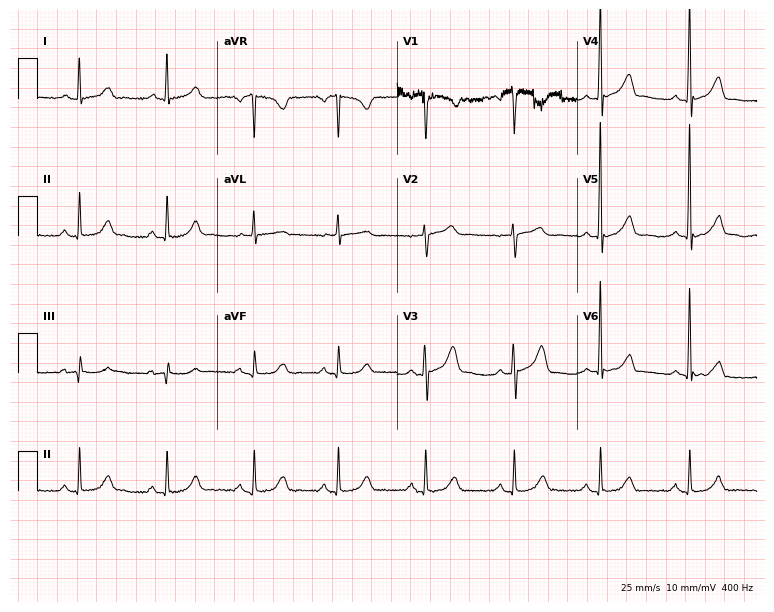
Standard 12-lead ECG recorded from a female patient, 54 years old (7.3-second recording at 400 Hz). Read as a normal ECG.